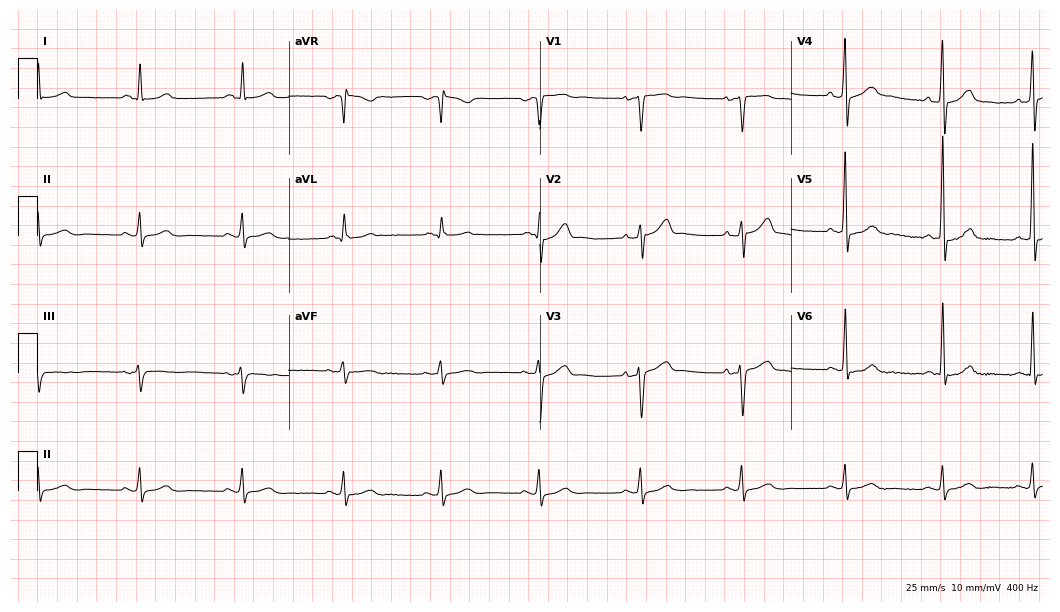
Resting 12-lead electrocardiogram. Patient: a 60-year-old male. Read as a normal ECG.